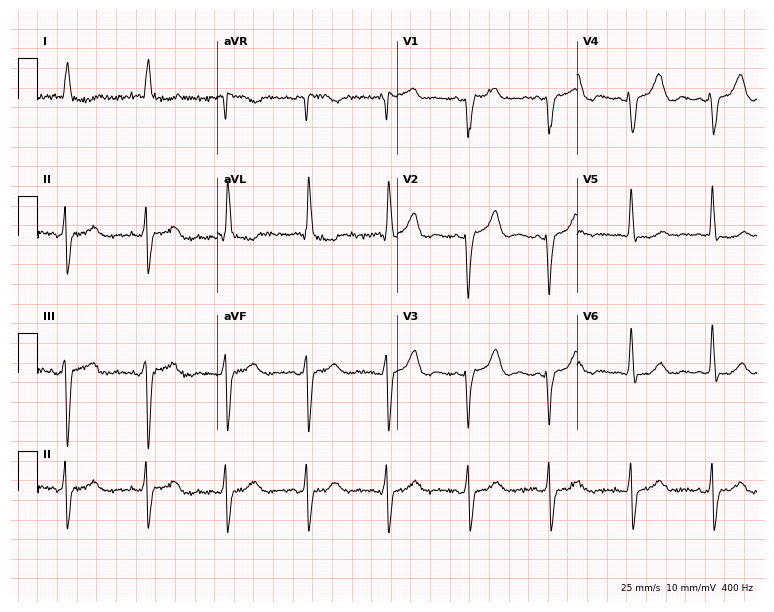
Resting 12-lead electrocardiogram. Patient: a 63-year-old woman. None of these six findings is recorded: first-degree AV block, right bundle branch block, left bundle branch block, sinus bradycardia, atrial fibrillation, sinus tachycardia. Other findings, if any, are not listed.